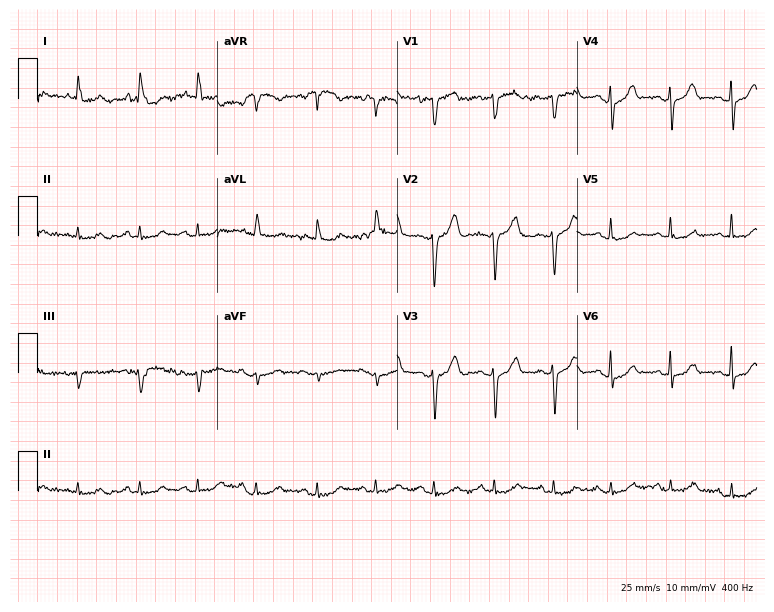
12-lead ECG from a female, 84 years old (7.3-second recording at 400 Hz). No first-degree AV block, right bundle branch block, left bundle branch block, sinus bradycardia, atrial fibrillation or sinus tachycardia recorded for this tracing. Only these six findings were labelled.